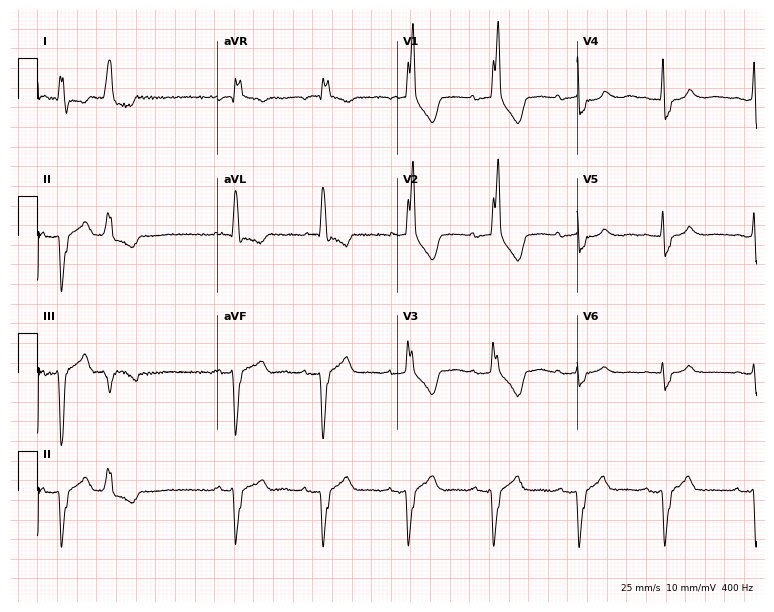
12-lead ECG from an 84-year-old woman (7.3-second recording at 400 Hz). Shows right bundle branch block (RBBB).